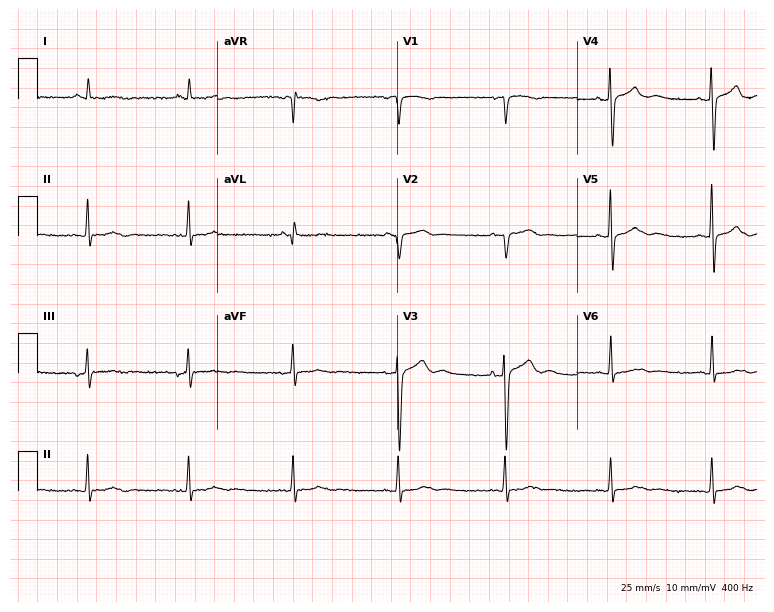
Standard 12-lead ECG recorded from a female, 69 years old. None of these six findings is recorded: first-degree AV block, right bundle branch block, left bundle branch block, sinus bradycardia, atrial fibrillation, sinus tachycardia.